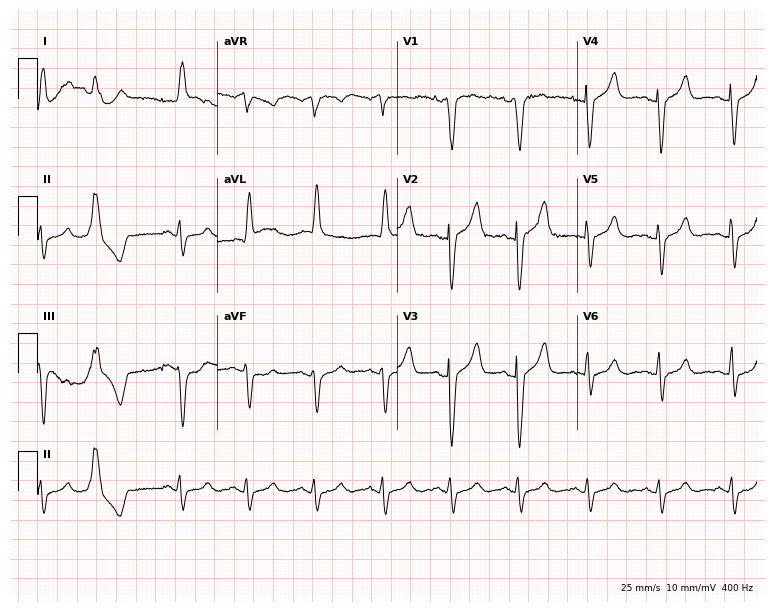
Electrocardiogram (7.3-second recording at 400 Hz), an 81-year-old man. Of the six screened findings (first-degree AV block, right bundle branch block, left bundle branch block, sinus bradycardia, atrial fibrillation, sinus tachycardia), none is recorded. Other findings, if any, are not listed.